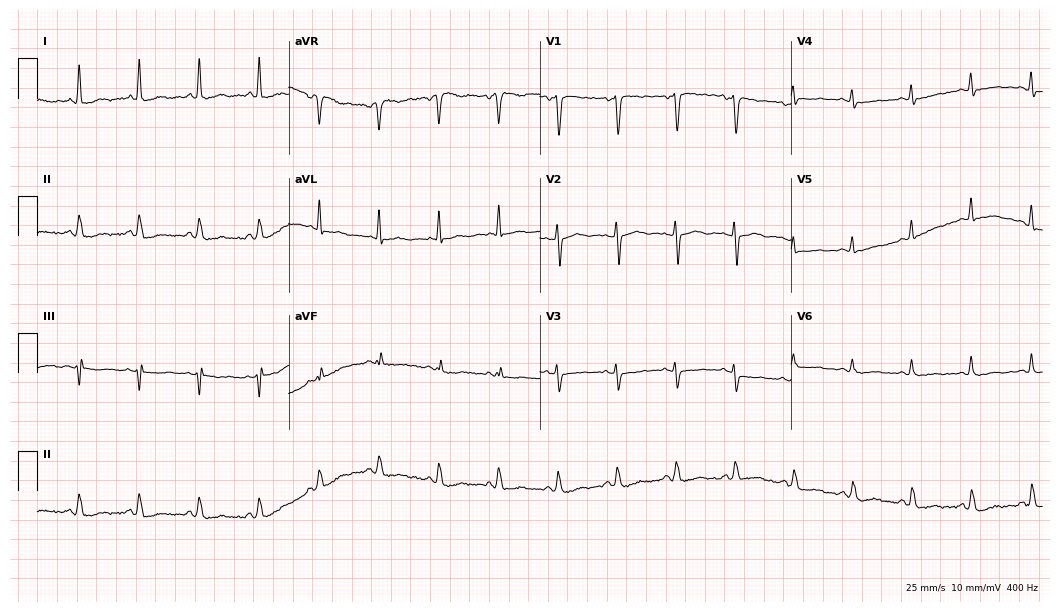
Electrocardiogram (10.2-second recording at 400 Hz), a 43-year-old female. Of the six screened findings (first-degree AV block, right bundle branch block, left bundle branch block, sinus bradycardia, atrial fibrillation, sinus tachycardia), none is recorded. Findings outside these six are not listed.